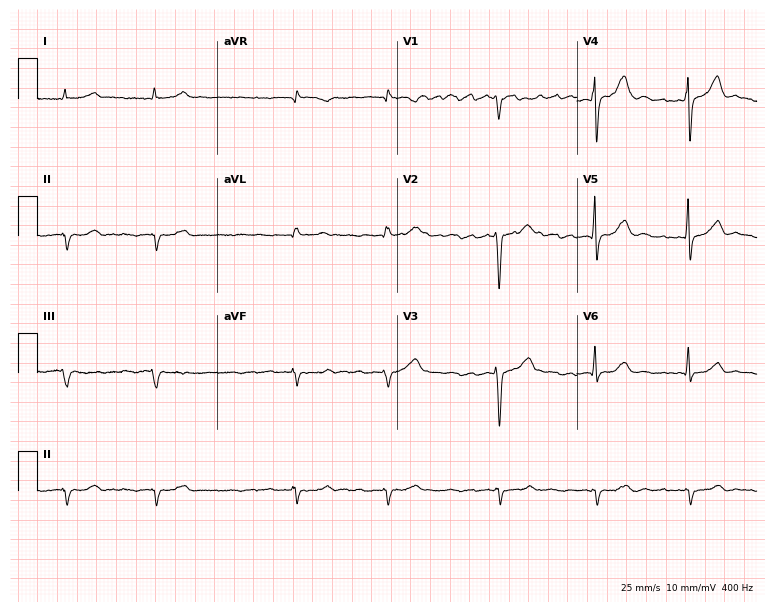
Resting 12-lead electrocardiogram. Patient: a male, 65 years old. The tracing shows atrial fibrillation.